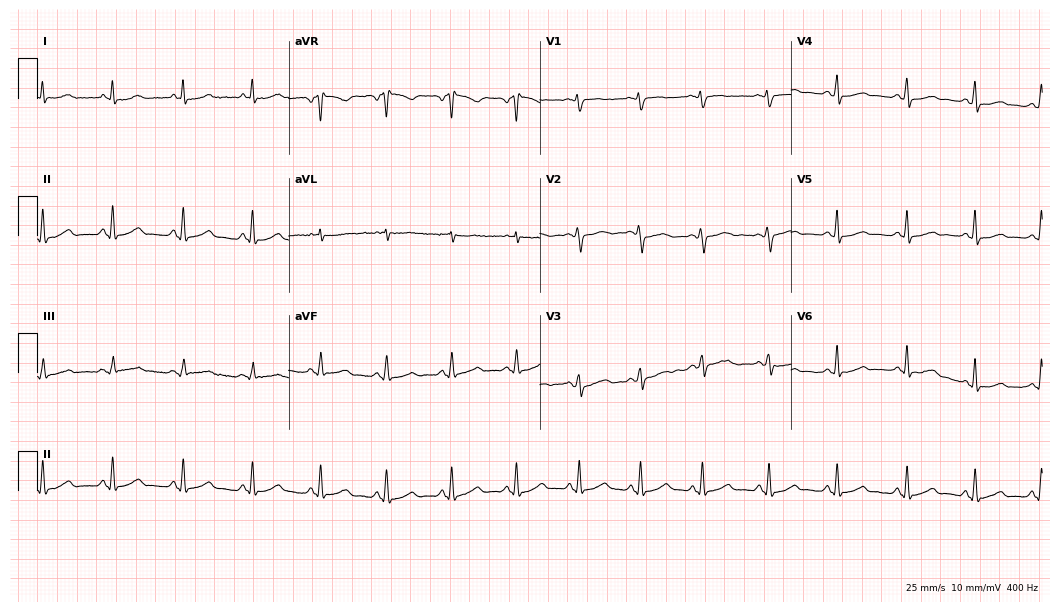
Electrocardiogram (10.2-second recording at 400 Hz), a 51-year-old woman. Overall reading on record: normal ECG.